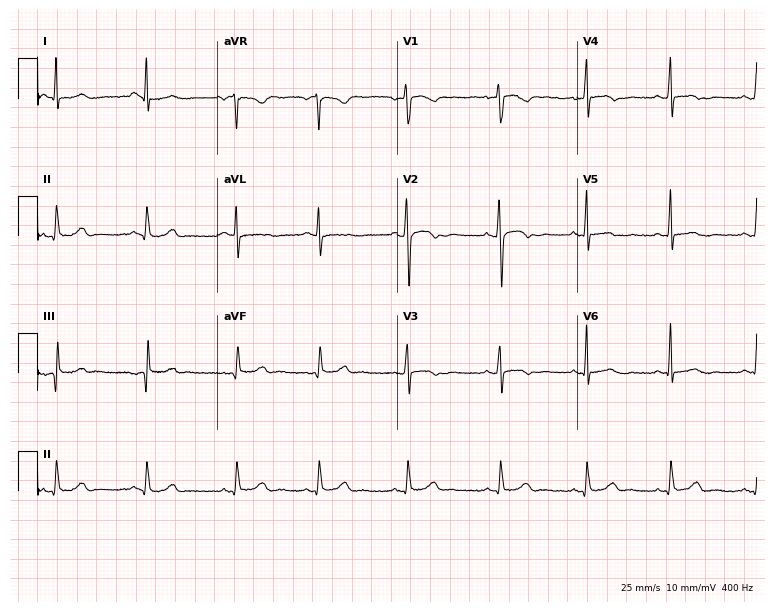
12-lead ECG (7.3-second recording at 400 Hz) from a female patient, 27 years old. Screened for six findings — first-degree AV block, right bundle branch block, left bundle branch block, sinus bradycardia, atrial fibrillation, sinus tachycardia — none is recorded.